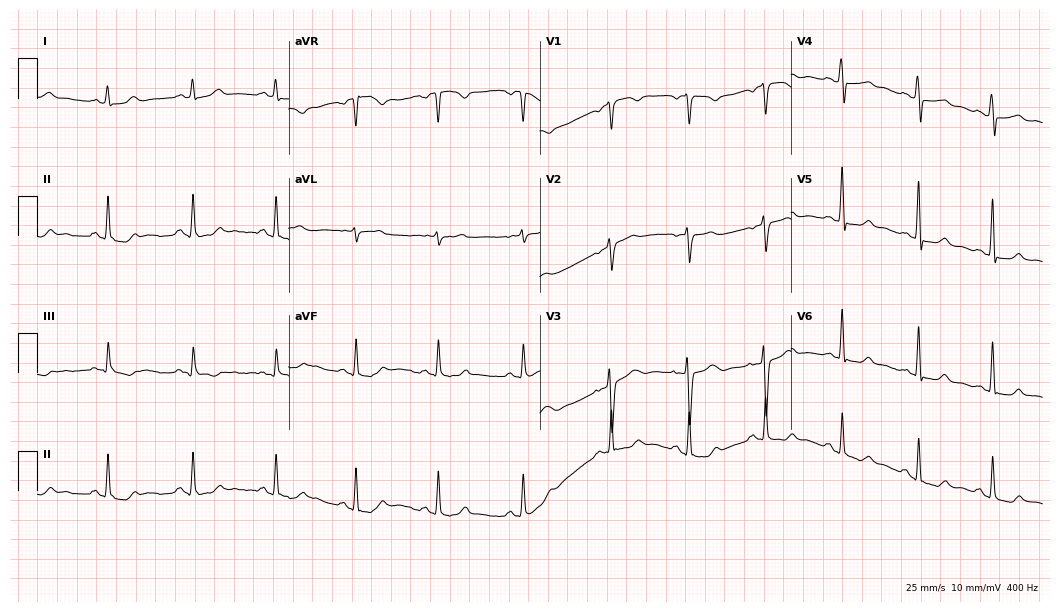
Electrocardiogram, a female, 26 years old. Overall reading on record: normal ECG.